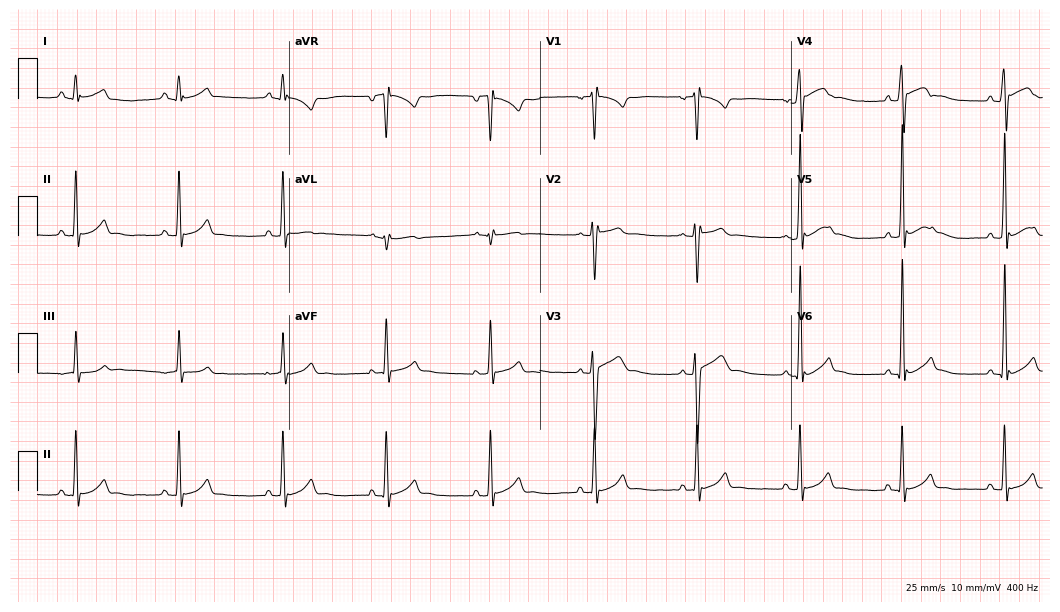
12-lead ECG from a male, 17 years old. Labelled as a normal ECG.